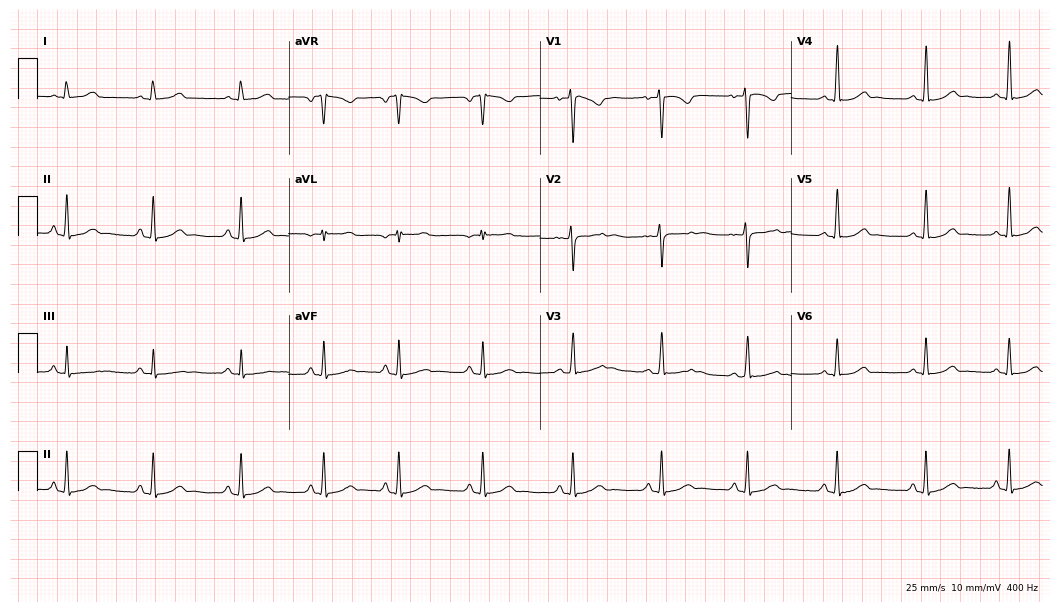
Electrocardiogram, a woman, 20 years old. Overall reading on record: normal ECG.